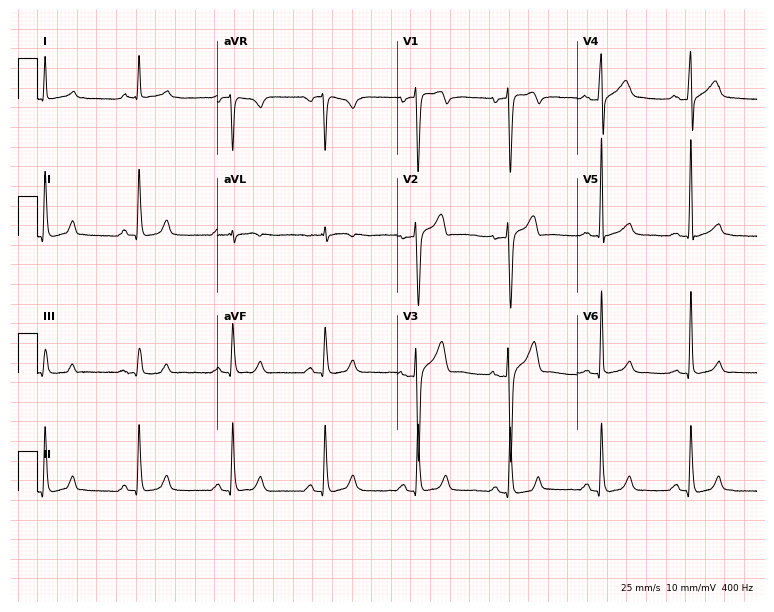
Resting 12-lead electrocardiogram. Patient: a 39-year-old male. Read as a normal ECG.